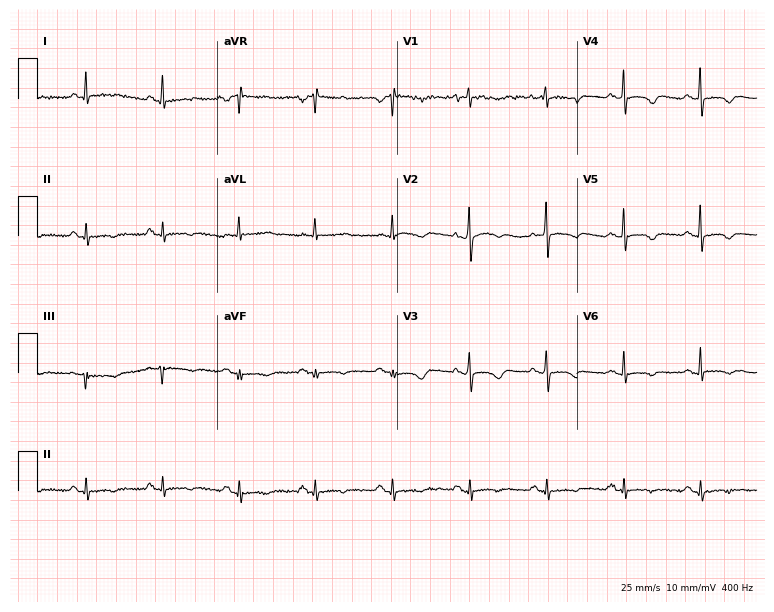
Electrocardiogram, a 50-year-old woman. Of the six screened findings (first-degree AV block, right bundle branch block, left bundle branch block, sinus bradycardia, atrial fibrillation, sinus tachycardia), none is recorded. Other findings, if any, are not listed.